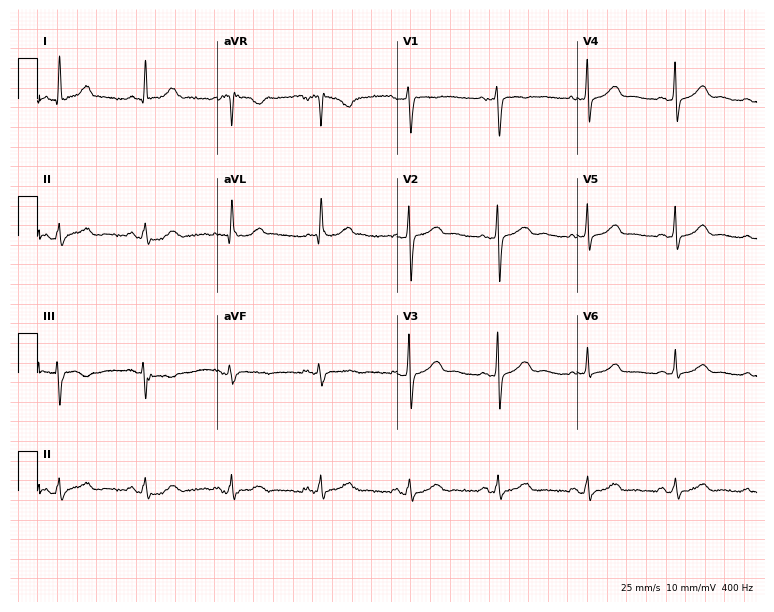
12-lead ECG from a female, 55 years old. Labelled as a normal ECG.